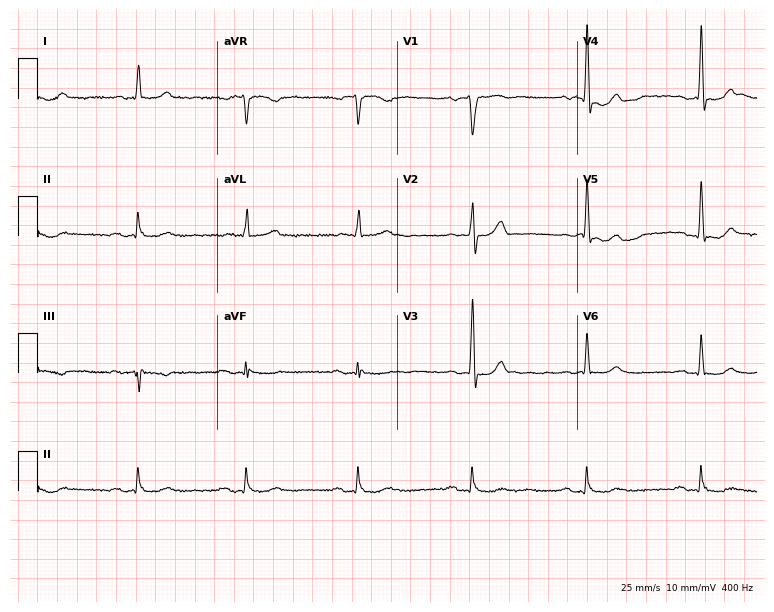
Resting 12-lead electrocardiogram (7.3-second recording at 400 Hz). Patient: a 79-year-old male. The tracing shows first-degree AV block.